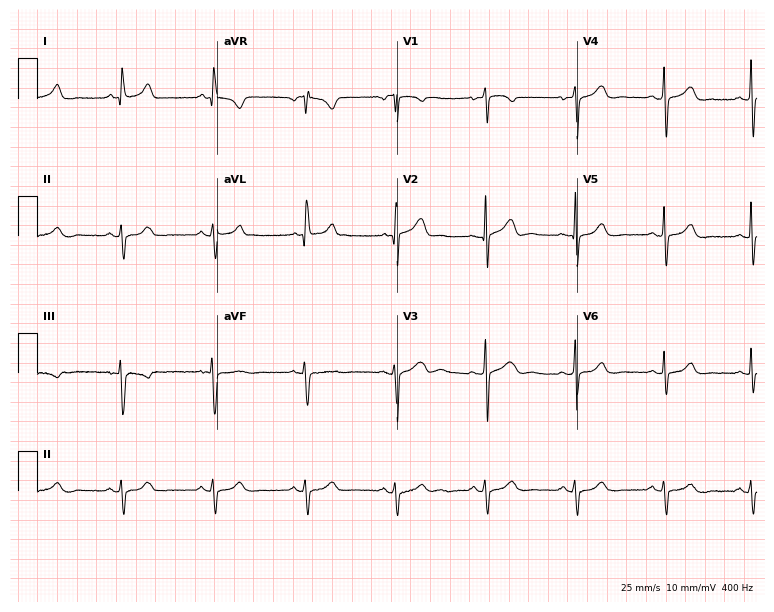
12-lead ECG from a female patient, 62 years old (7.3-second recording at 400 Hz). No first-degree AV block, right bundle branch block (RBBB), left bundle branch block (LBBB), sinus bradycardia, atrial fibrillation (AF) or sinus tachycardia recorded for this tracing.